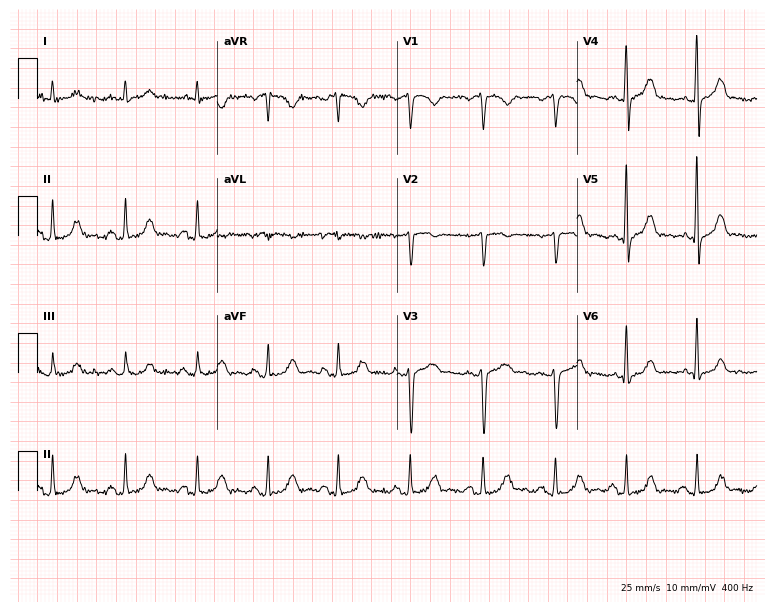
12-lead ECG from a man, 69 years old (7.3-second recording at 400 Hz). Recorded interpretation: within normal limits.